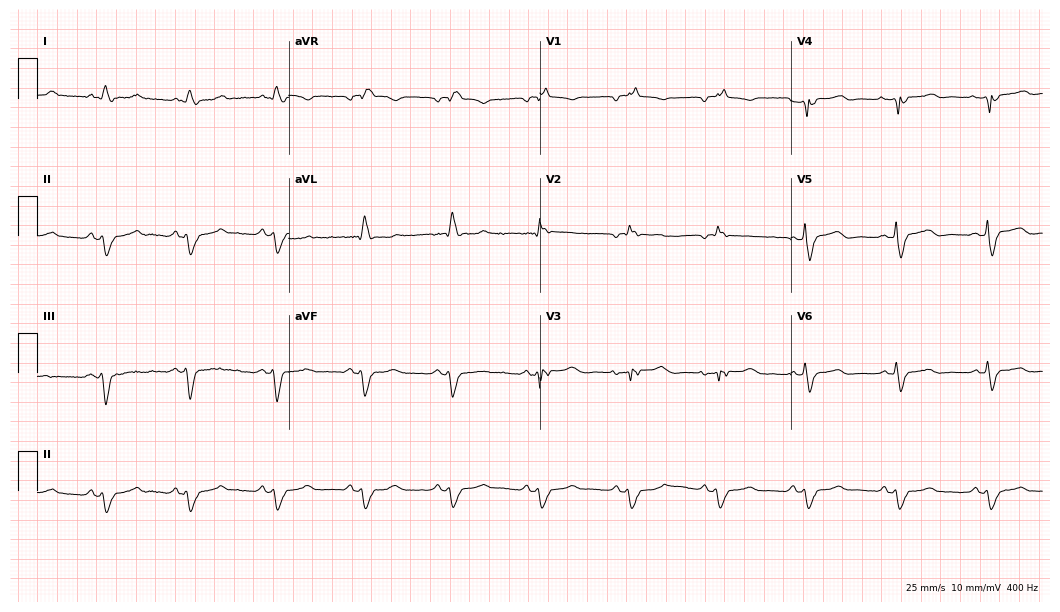
ECG (10.2-second recording at 400 Hz) — a 63-year-old female patient. Findings include right bundle branch block.